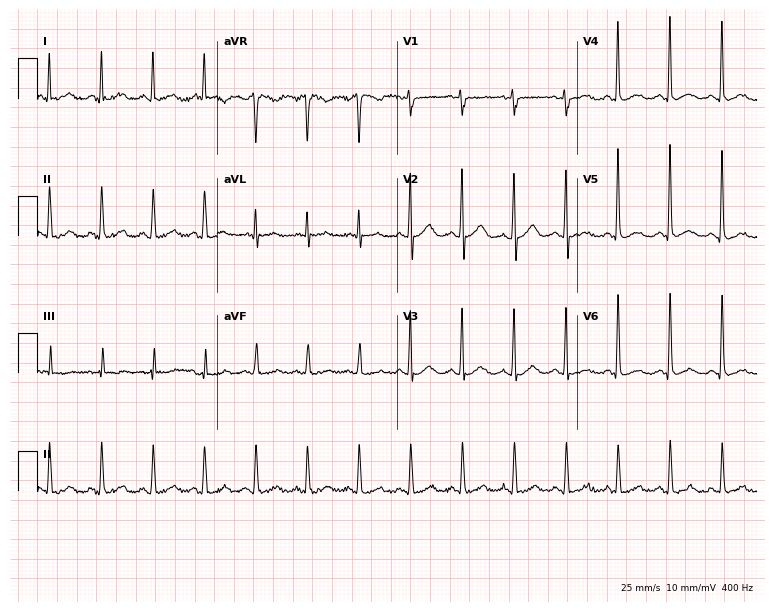
12-lead ECG from a male patient, 46 years old. Findings include sinus tachycardia (a sinus rate of 100 beats per minute or more).